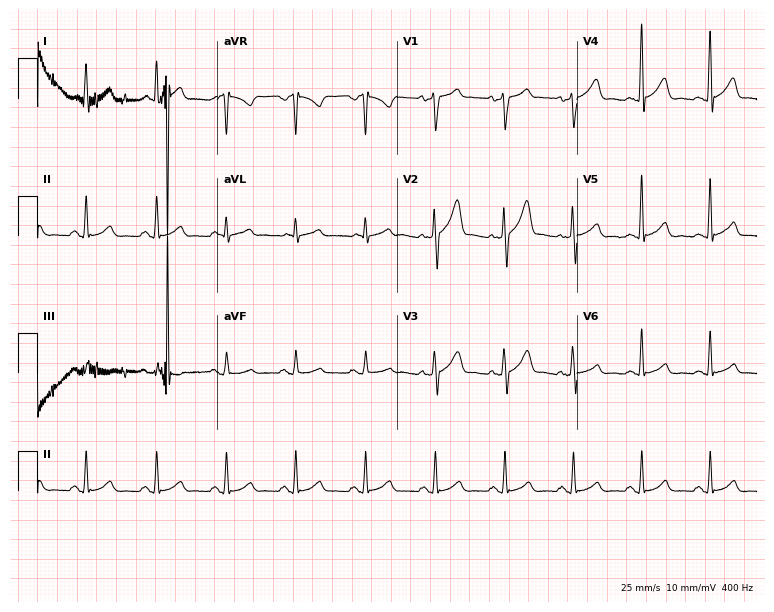
Electrocardiogram, a 43-year-old male patient. Overall reading on record: normal ECG.